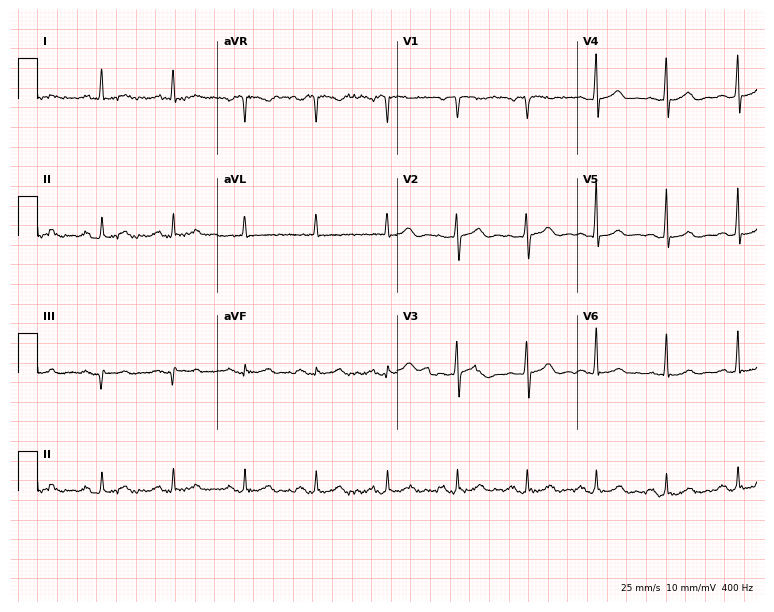
ECG — a man, 65 years old. Labelled as a normal ECG.